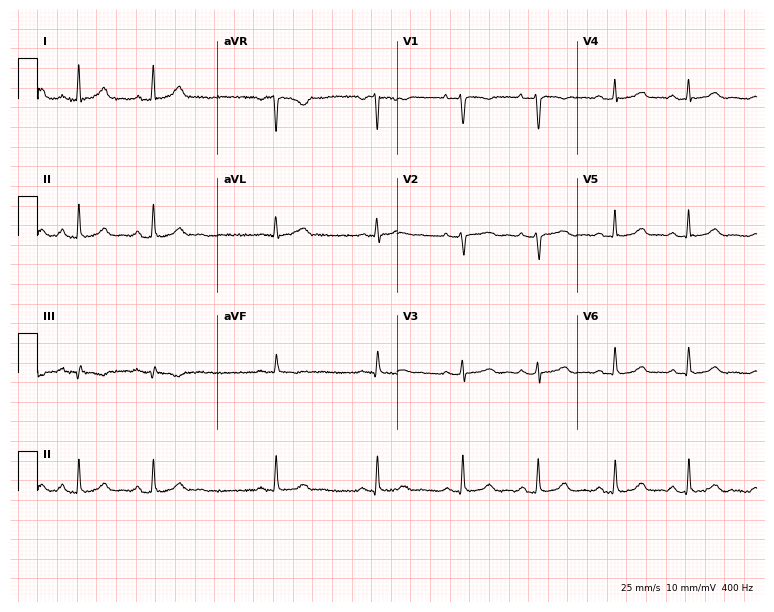
Electrocardiogram, a 47-year-old woman. Overall reading on record: normal ECG.